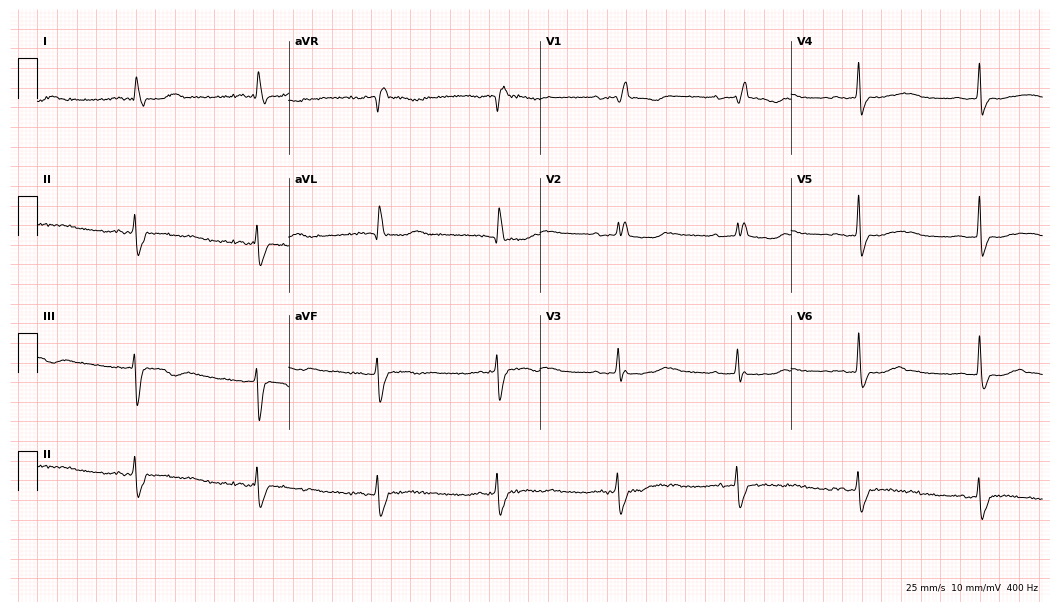
Resting 12-lead electrocardiogram (10.2-second recording at 400 Hz). Patient: a 76-year-old woman. None of these six findings is recorded: first-degree AV block, right bundle branch block, left bundle branch block, sinus bradycardia, atrial fibrillation, sinus tachycardia. Only these six findings were labelled.